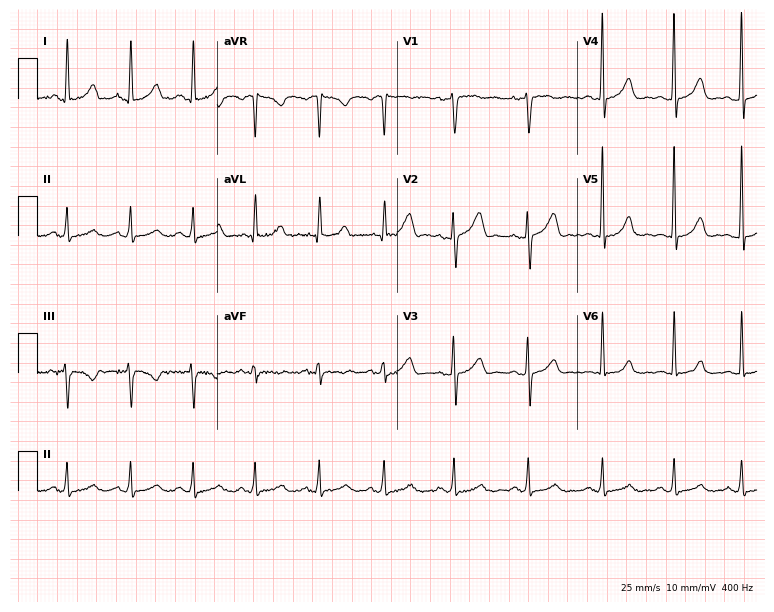
Standard 12-lead ECG recorded from a 34-year-old female (7.3-second recording at 400 Hz). Read as a normal ECG.